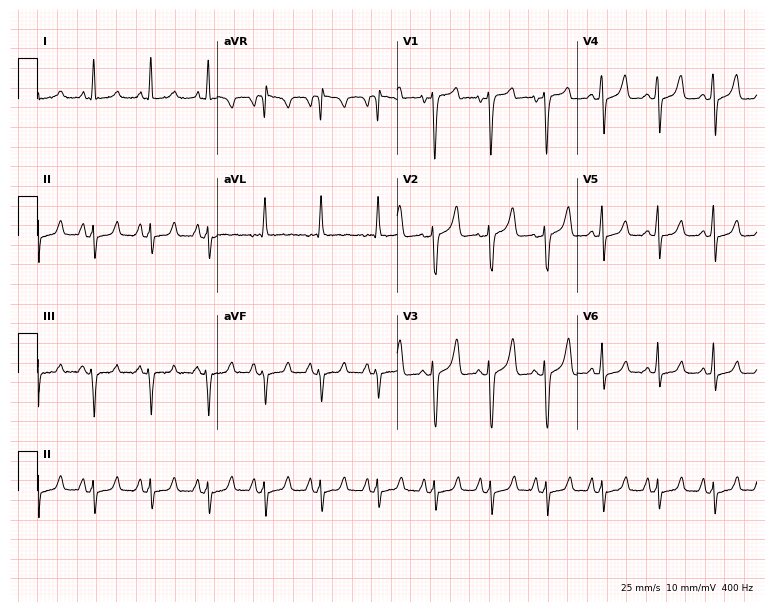
12-lead ECG (7.3-second recording at 400 Hz) from a female, 38 years old. Screened for six findings — first-degree AV block, right bundle branch block, left bundle branch block, sinus bradycardia, atrial fibrillation, sinus tachycardia — none is recorded. Findings outside these six are not listed.